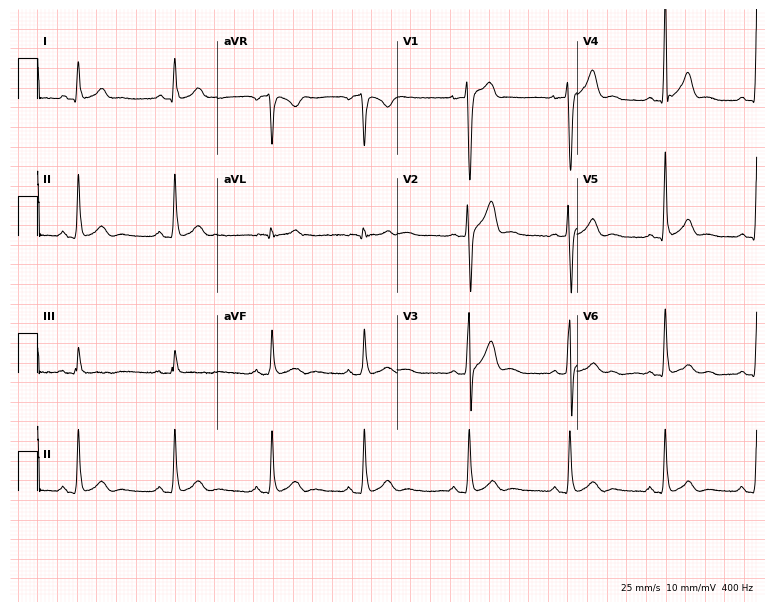
Electrocardiogram, a 32-year-old male. Overall reading on record: normal ECG.